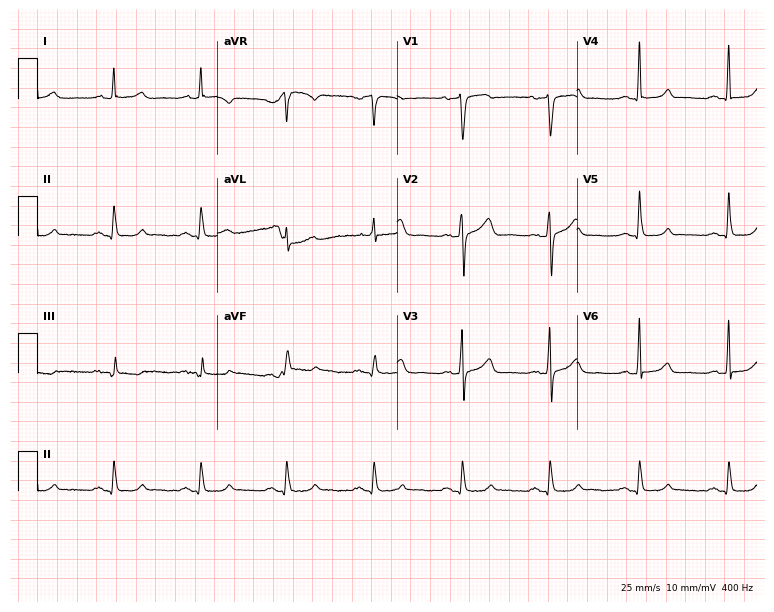
12-lead ECG from a 62-year-old woman. Labelled as a normal ECG.